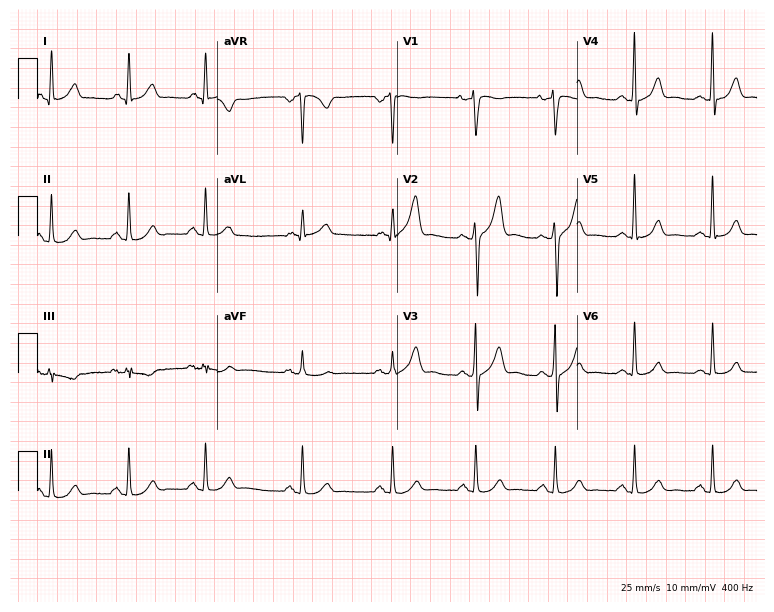
ECG (7.3-second recording at 400 Hz) — a 56-year-old male. Labelled as a normal ECG.